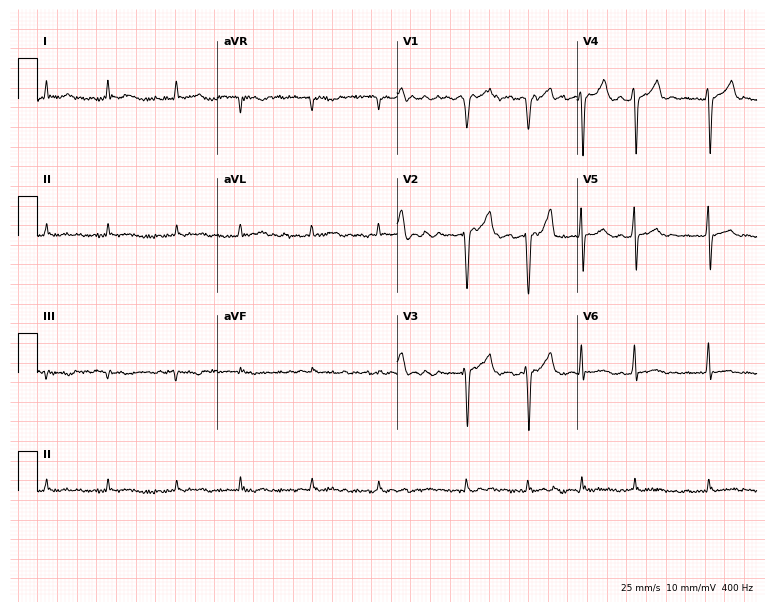
Resting 12-lead electrocardiogram (7.3-second recording at 400 Hz). Patient: a man, 44 years old. The tracing shows atrial fibrillation.